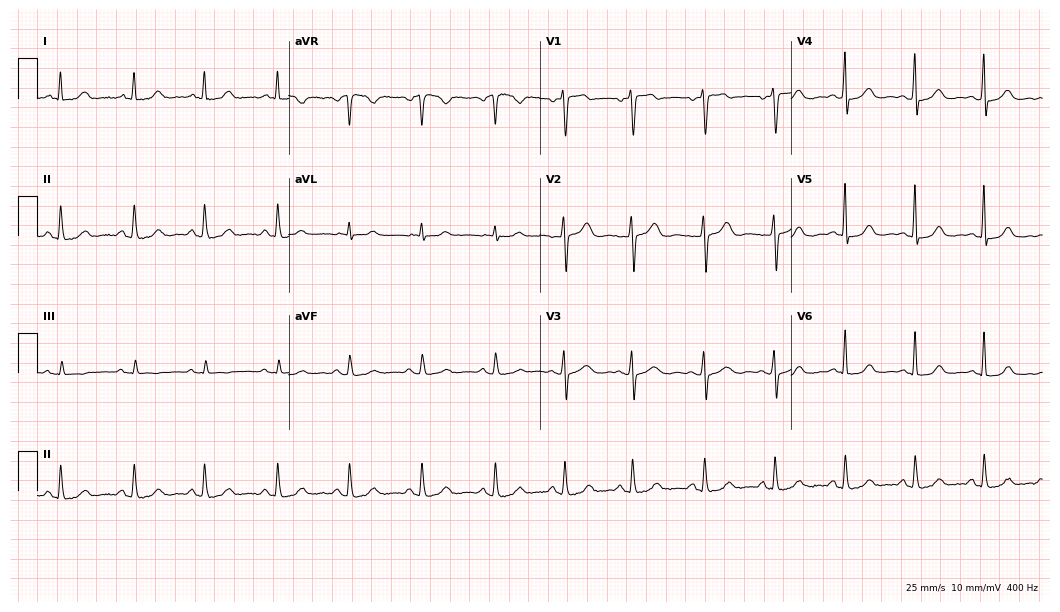
Resting 12-lead electrocardiogram (10.2-second recording at 400 Hz). Patient: a woman, 51 years old. Read as a normal ECG.